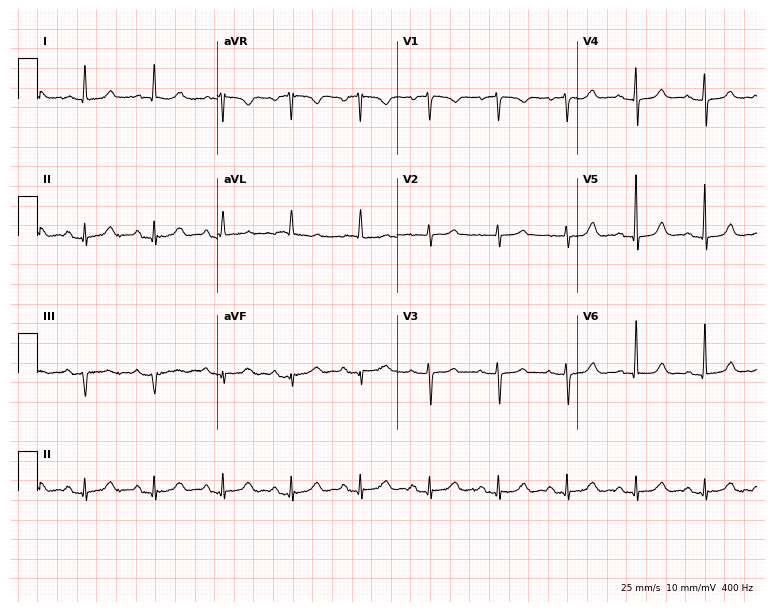
Electrocardiogram, a 77-year-old female. Overall reading on record: normal ECG.